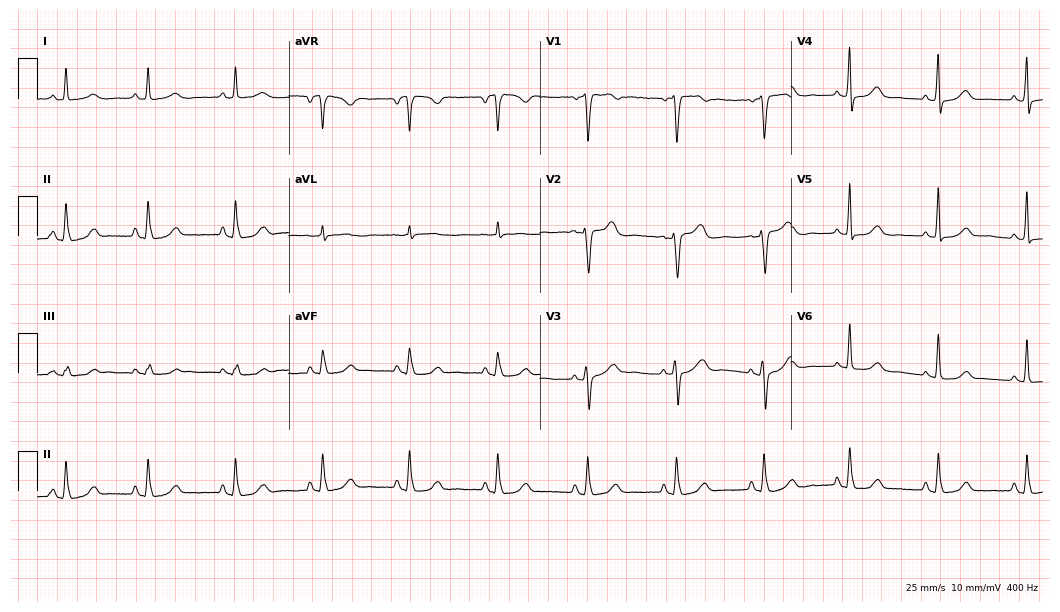
Resting 12-lead electrocardiogram. Patient: a female, 42 years old. Read as a normal ECG.